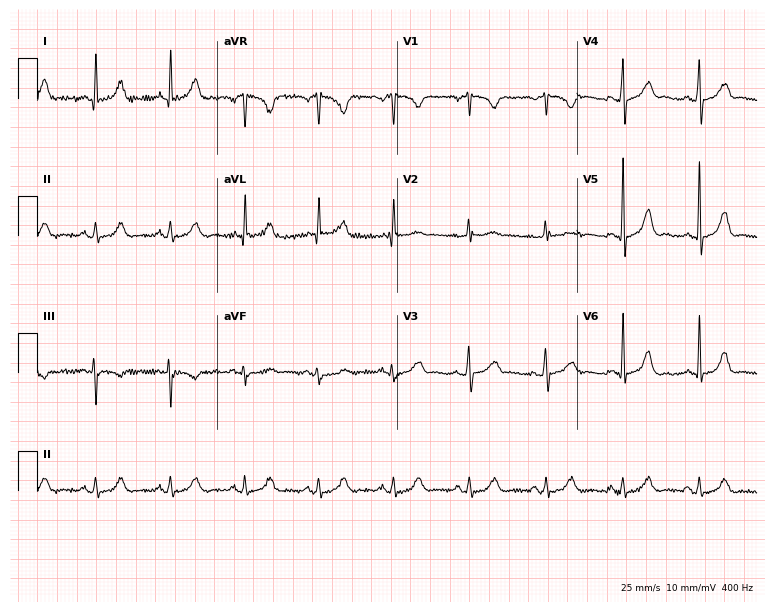
ECG (7.3-second recording at 400 Hz) — a female patient, 56 years old. Screened for six findings — first-degree AV block, right bundle branch block (RBBB), left bundle branch block (LBBB), sinus bradycardia, atrial fibrillation (AF), sinus tachycardia — none is recorded.